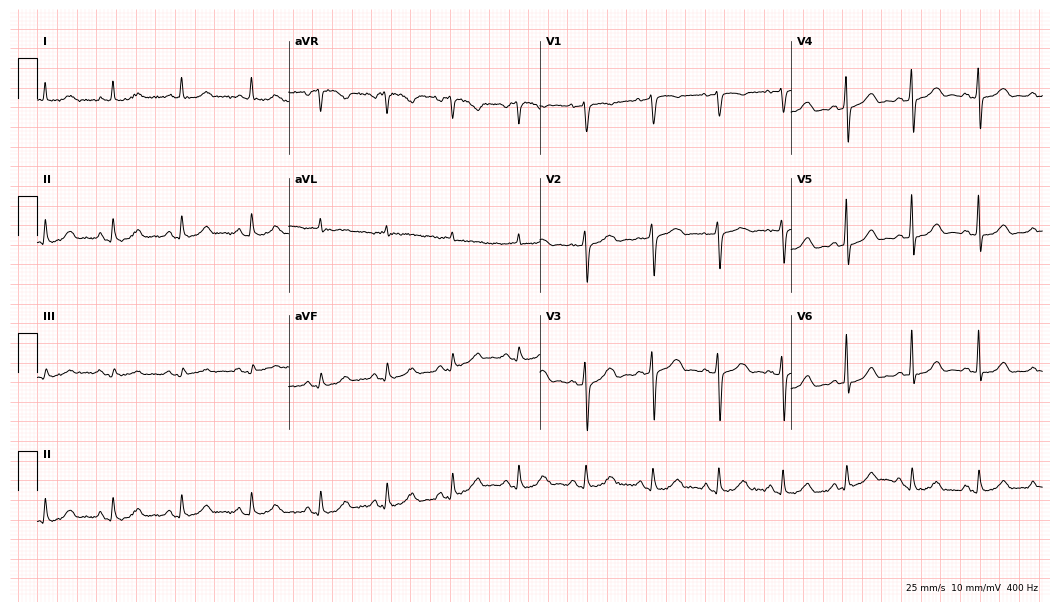
Electrocardiogram, a 67-year-old woman. Overall reading on record: normal ECG.